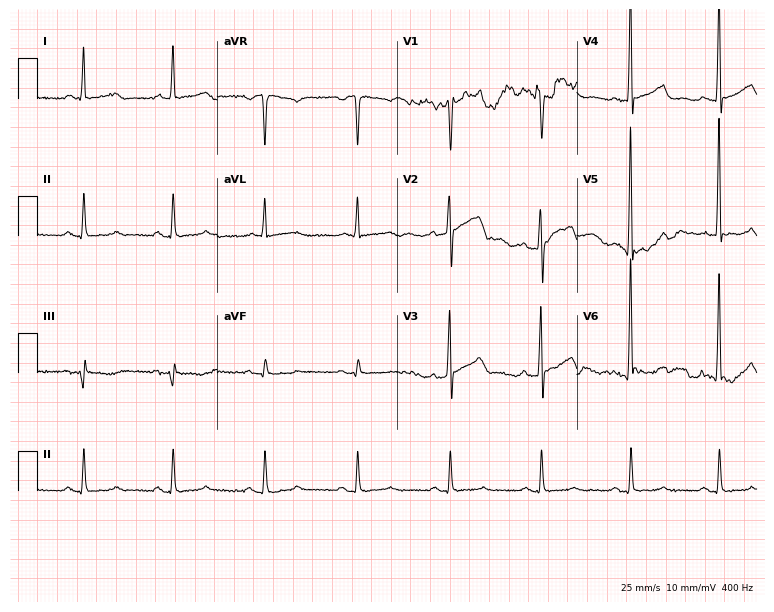
Electrocardiogram (7.3-second recording at 400 Hz), a 66-year-old male. Of the six screened findings (first-degree AV block, right bundle branch block, left bundle branch block, sinus bradycardia, atrial fibrillation, sinus tachycardia), none is recorded.